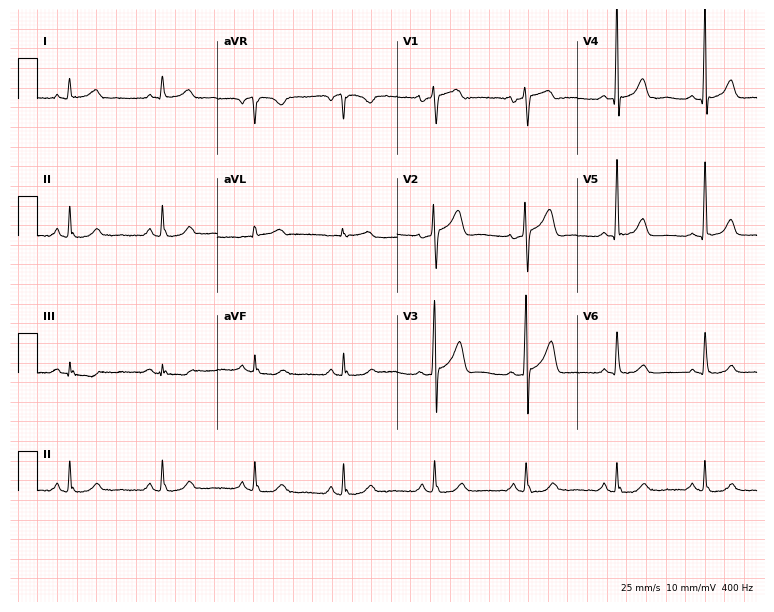
ECG — a male, 60 years old. Screened for six findings — first-degree AV block, right bundle branch block (RBBB), left bundle branch block (LBBB), sinus bradycardia, atrial fibrillation (AF), sinus tachycardia — none is recorded. Other findings, if any, are not listed.